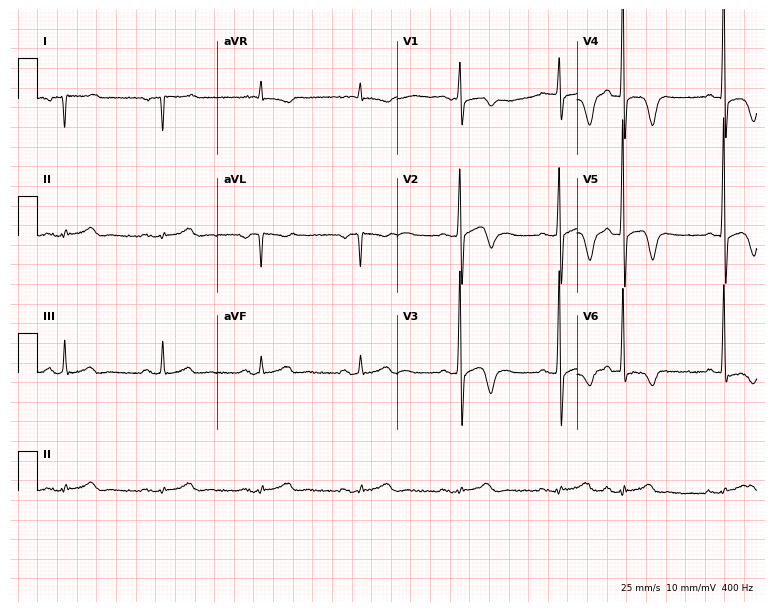
12-lead ECG from a male, 74 years old (7.3-second recording at 400 Hz). No first-degree AV block, right bundle branch block (RBBB), left bundle branch block (LBBB), sinus bradycardia, atrial fibrillation (AF) or sinus tachycardia recorded for this tracing. Only these six findings were labelled.